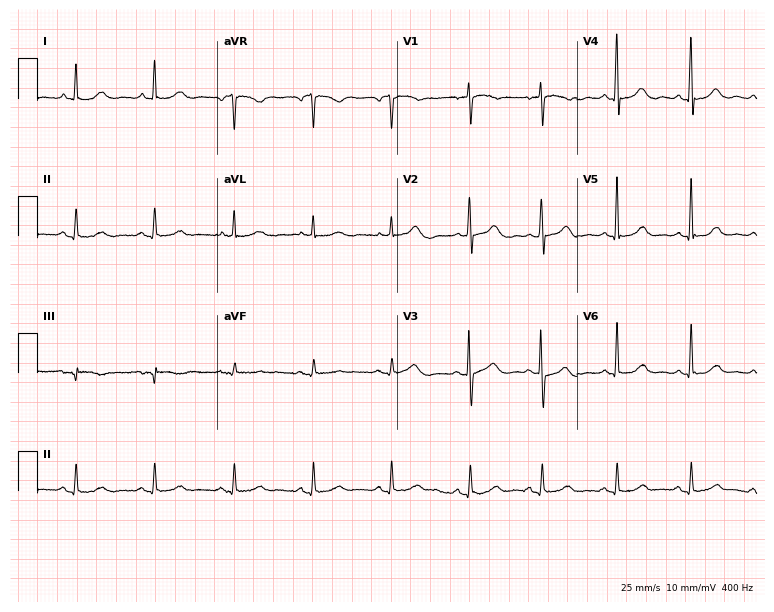
Electrocardiogram (7.3-second recording at 400 Hz), a 75-year-old woman. Of the six screened findings (first-degree AV block, right bundle branch block (RBBB), left bundle branch block (LBBB), sinus bradycardia, atrial fibrillation (AF), sinus tachycardia), none is recorded. Only these six findings were labelled.